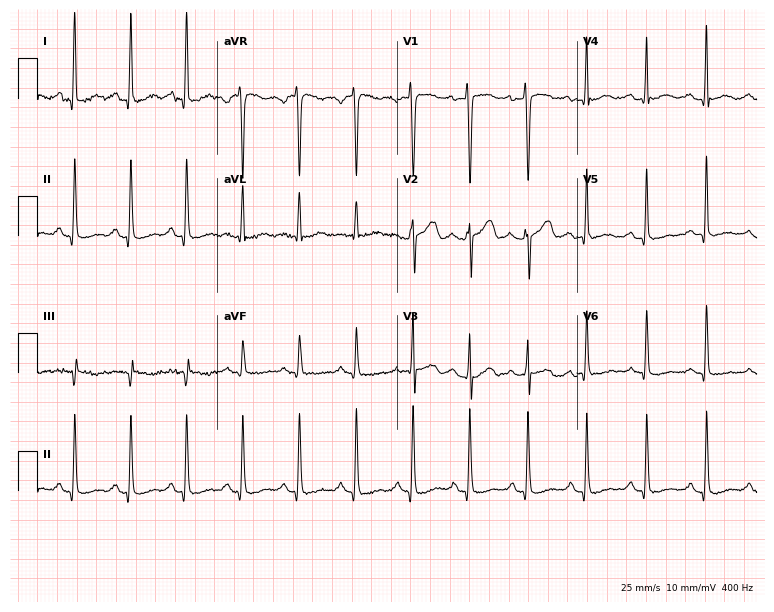
Electrocardiogram, a female, 36 years old. Interpretation includes sinus tachycardia (a sinus rate of 100 beats per minute or more).